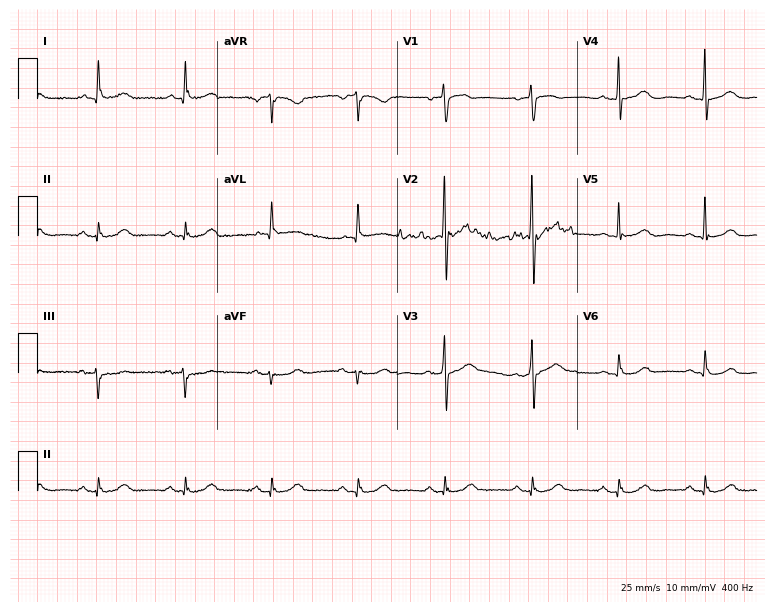
12-lead ECG (7.3-second recording at 400 Hz) from a male patient, 79 years old. Labelled as a normal ECG.